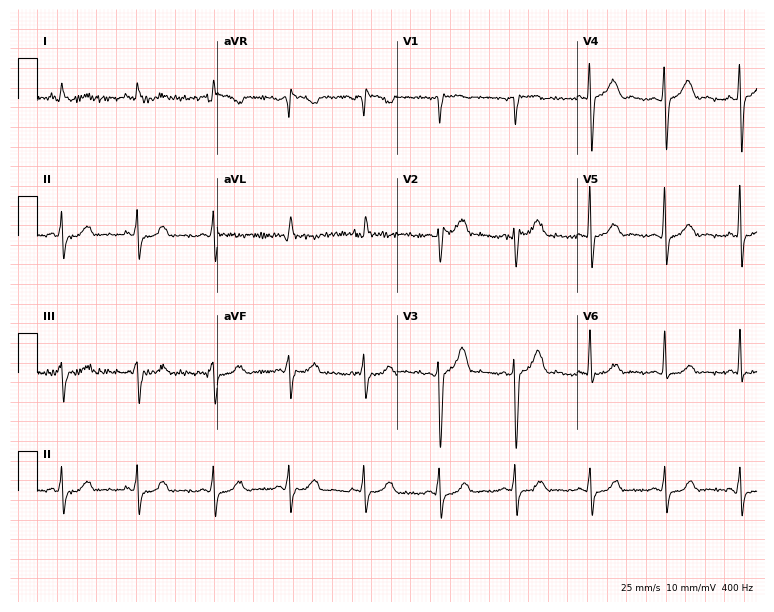
ECG — a 72-year-old male patient. Labelled as a normal ECG.